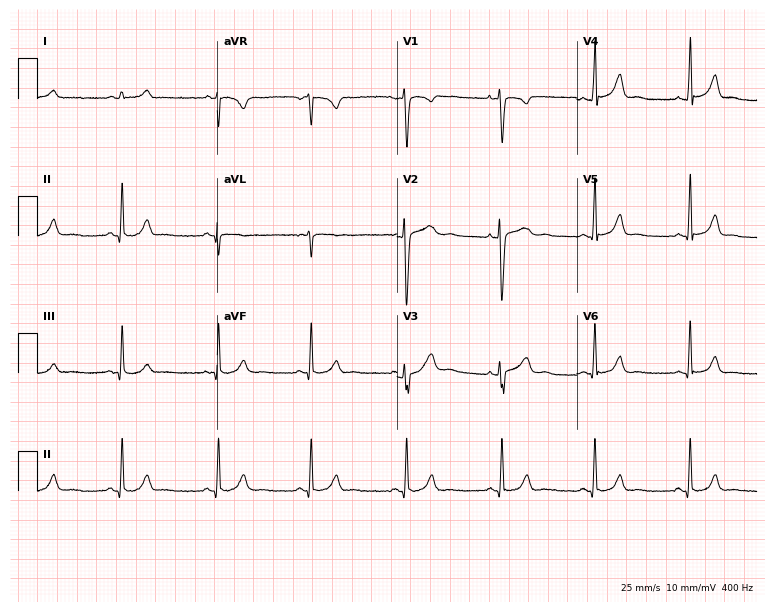
12-lead ECG from a female, 28 years old (7.3-second recording at 400 Hz). Recorded interpretation: within normal limits.